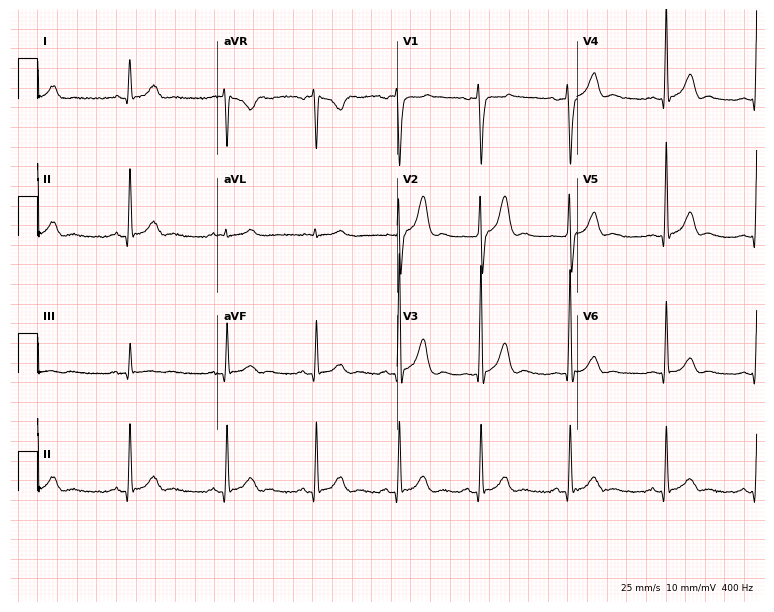
Resting 12-lead electrocardiogram (7.3-second recording at 400 Hz). Patient: a male, 32 years old. None of these six findings is recorded: first-degree AV block, right bundle branch block, left bundle branch block, sinus bradycardia, atrial fibrillation, sinus tachycardia. Findings outside these six are not listed.